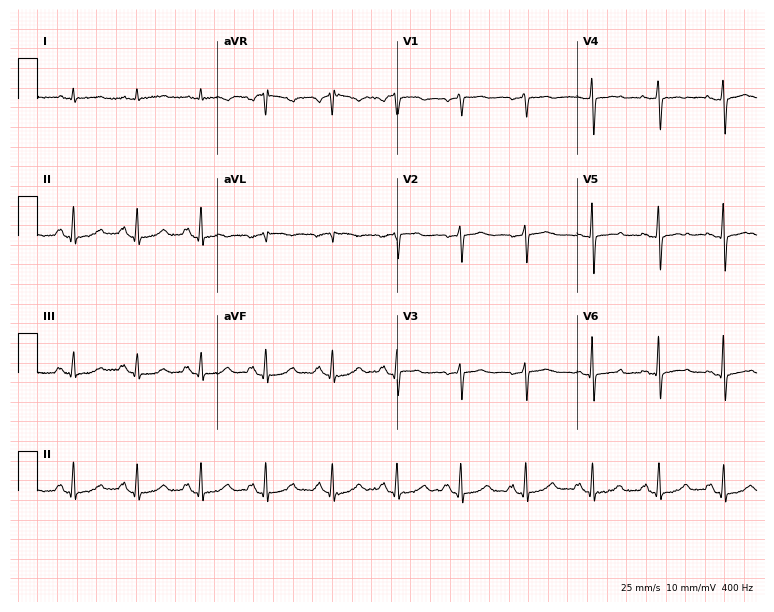
Electrocardiogram, a 64-year-old female patient. Overall reading on record: normal ECG.